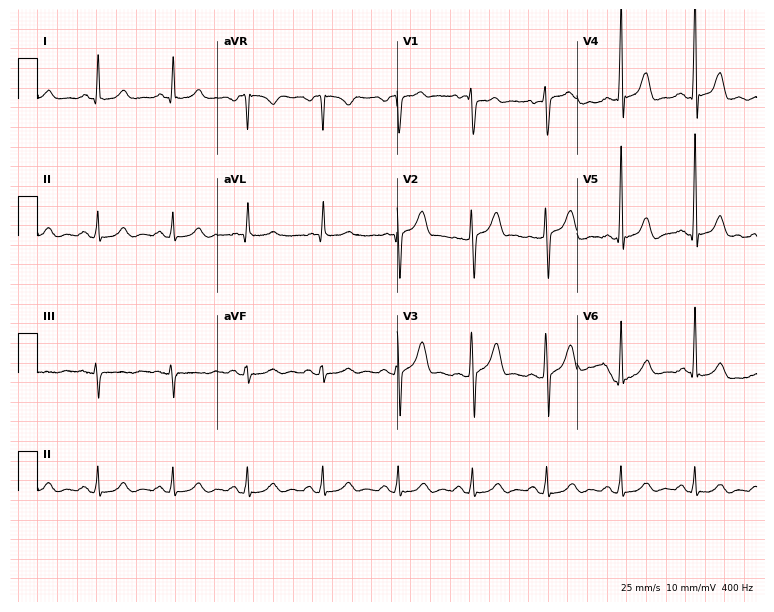
12-lead ECG from a 40-year-old male patient. Labelled as a normal ECG.